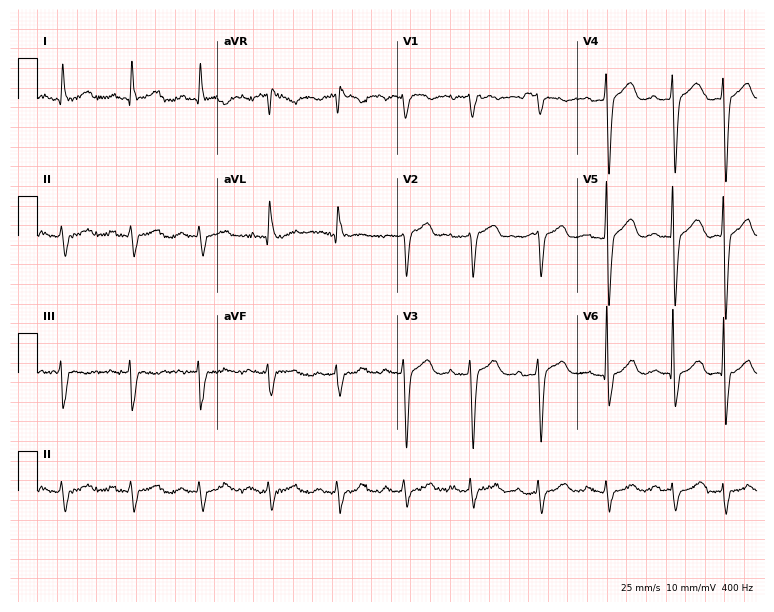
Resting 12-lead electrocardiogram (7.3-second recording at 400 Hz). Patient: an 81-year-old male. None of these six findings is recorded: first-degree AV block, right bundle branch block, left bundle branch block, sinus bradycardia, atrial fibrillation, sinus tachycardia. Only these six findings were labelled.